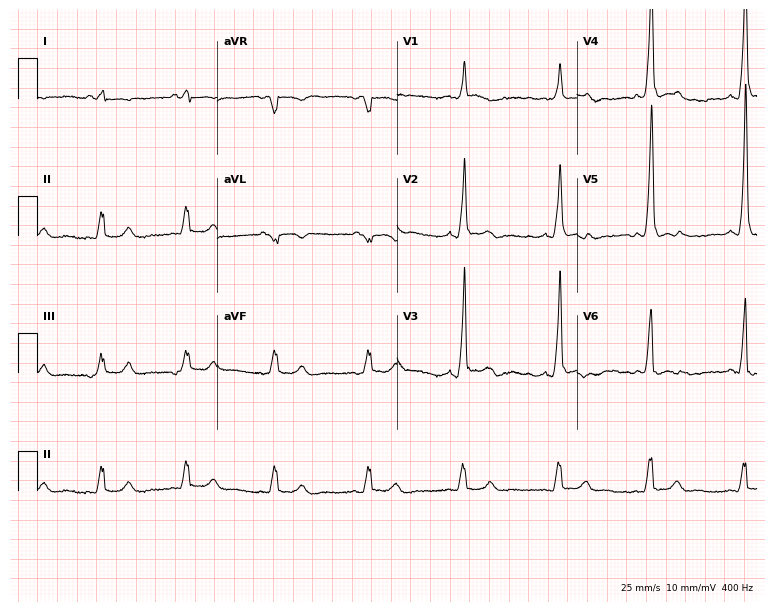
12-lead ECG from a male, 69 years old. No first-degree AV block, right bundle branch block (RBBB), left bundle branch block (LBBB), sinus bradycardia, atrial fibrillation (AF) or sinus tachycardia recorded for this tracing.